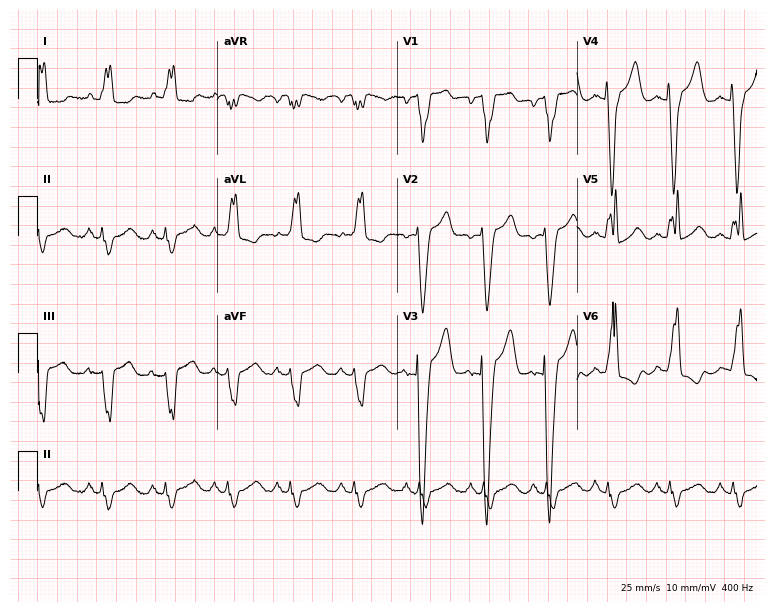
12-lead ECG (7.3-second recording at 400 Hz) from a 79-year-old female patient. Findings include left bundle branch block.